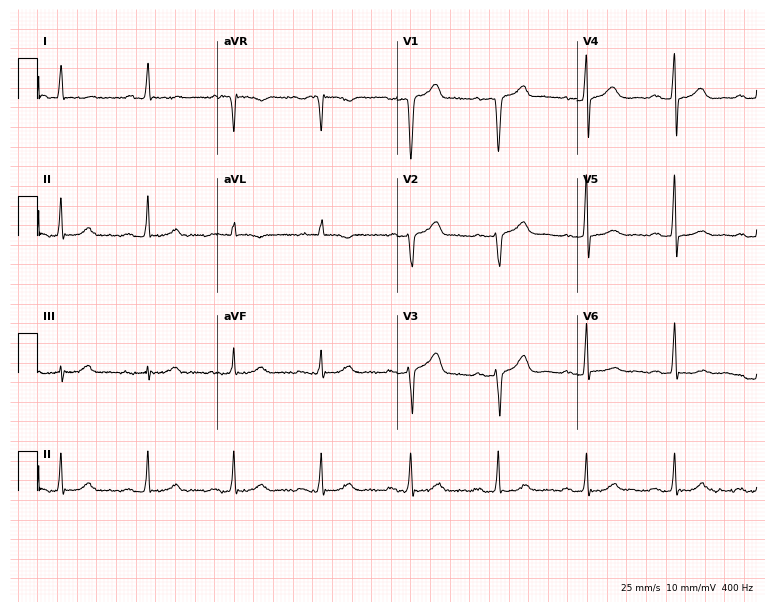
Resting 12-lead electrocardiogram. Patient: a 64-year-old male. None of these six findings is recorded: first-degree AV block, right bundle branch block, left bundle branch block, sinus bradycardia, atrial fibrillation, sinus tachycardia. Other findings, if any, are not listed.